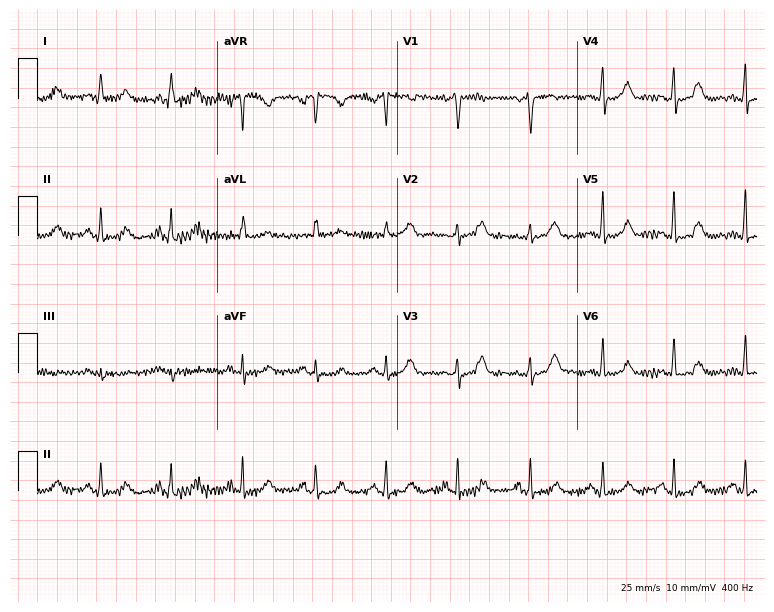
12-lead ECG from a female, 45 years old. No first-degree AV block, right bundle branch block (RBBB), left bundle branch block (LBBB), sinus bradycardia, atrial fibrillation (AF) or sinus tachycardia recorded for this tracing.